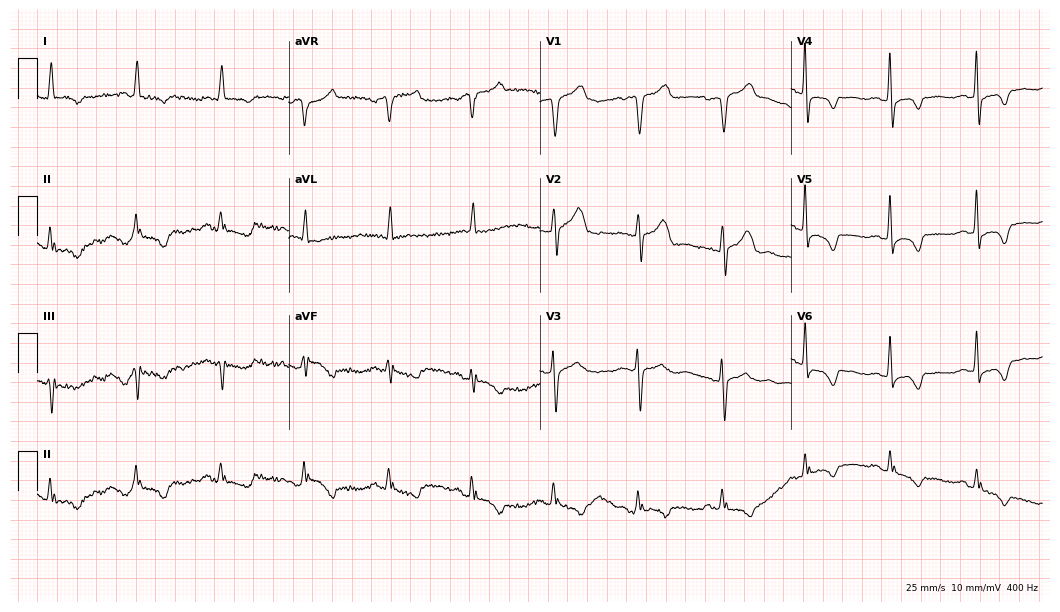
Resting 12-lead electrocardiogram. Patient: a male, 64 years old. None of these six findings is recorded: first-degree AV block, right bundle branch block, left bundle branch block, sinus bradycardia, atrial fibrillation, sinus tachycardia. Only these six findings were labelled.